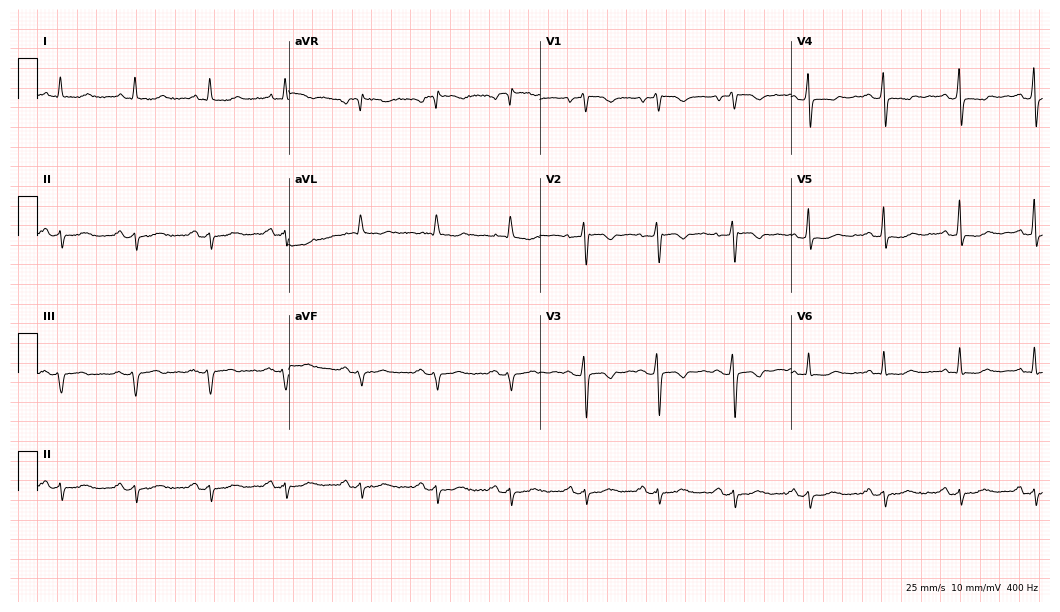
Standard 12-lead ECG recorded from a female, 77 years old (10.2-second recording at 400 Hz). None of these six findings is recorded: first-degree AV block, right bundle branch block, left bundle branch block, sinus bradycardia, atrial fibrillation, sinus tachycardia.